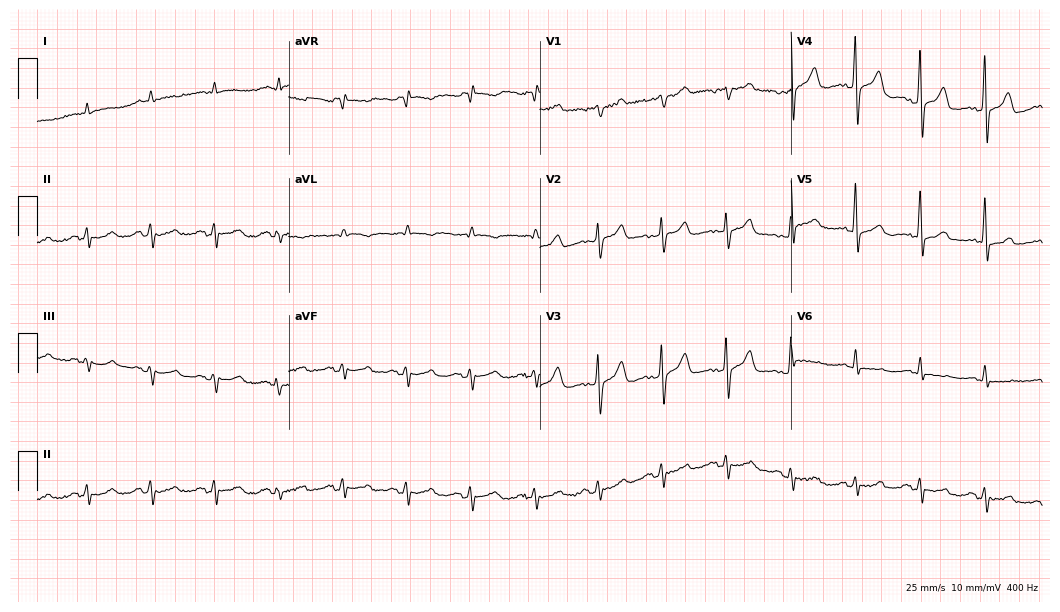
12-lead ECG from a male patient, 59 years old (10.2-second recording at 400 Hz). Recorded interpretation: within normal limits.